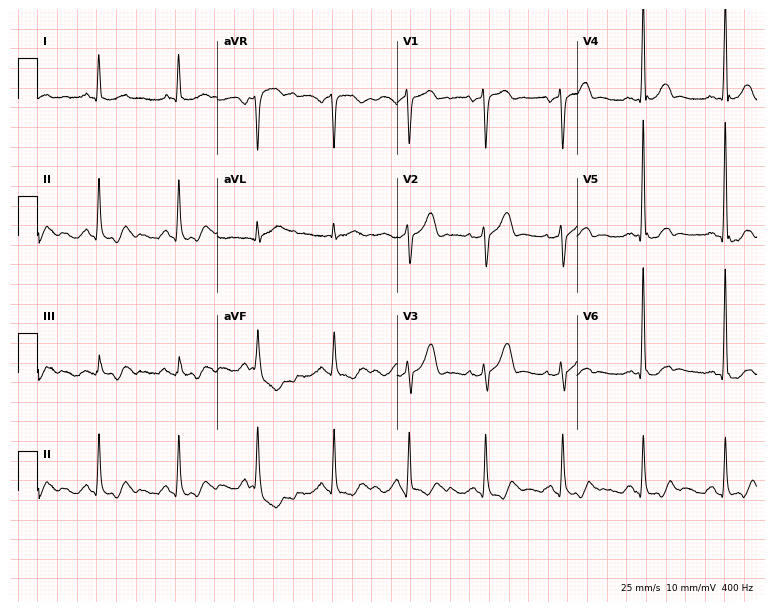
12-lead ECG from a 62-year-old male. Screened for six findings — first-degree AV block, right bundle branch block, left bundle branch block, sinus bradycardia, atrial fibrillation, sinus tachycardia — none is recorded.